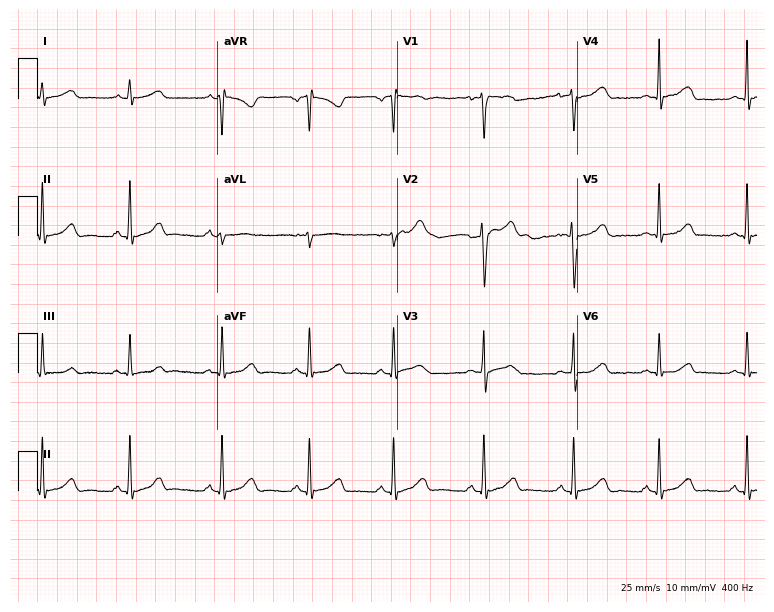
Resting 12-lead electrocardiogram (7.3-second recording at 400 Hz). Patient: a female, 20 years old. Read as a normal ECG.